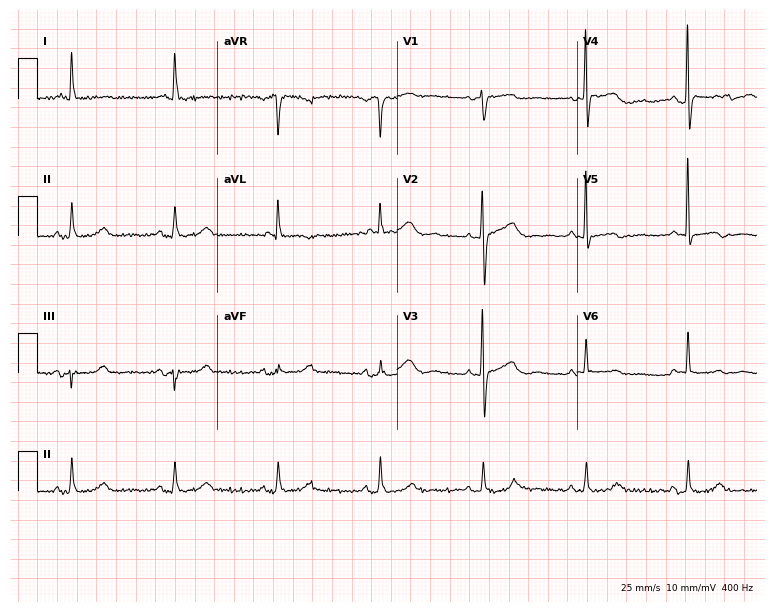
Resting 12-lead electrocardiogram. Patient: a female, 78 years old. None of these six findings is recorded: first-degree AV block, right bundle branch block, left bundle branch block, sinus bradycardia, atrial fibrillation, sinus tachycardia.